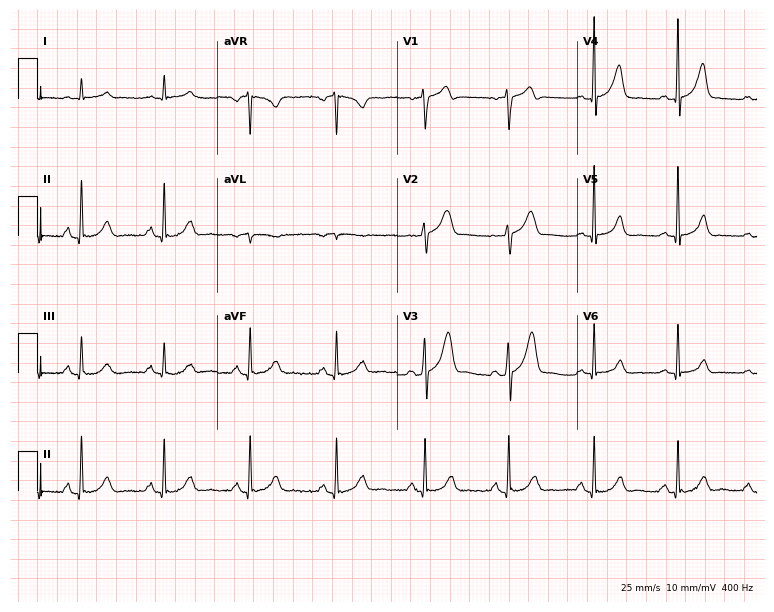
Standard 12-lead ECG recorded from a 67-year-old male. Read as a normal ECG.